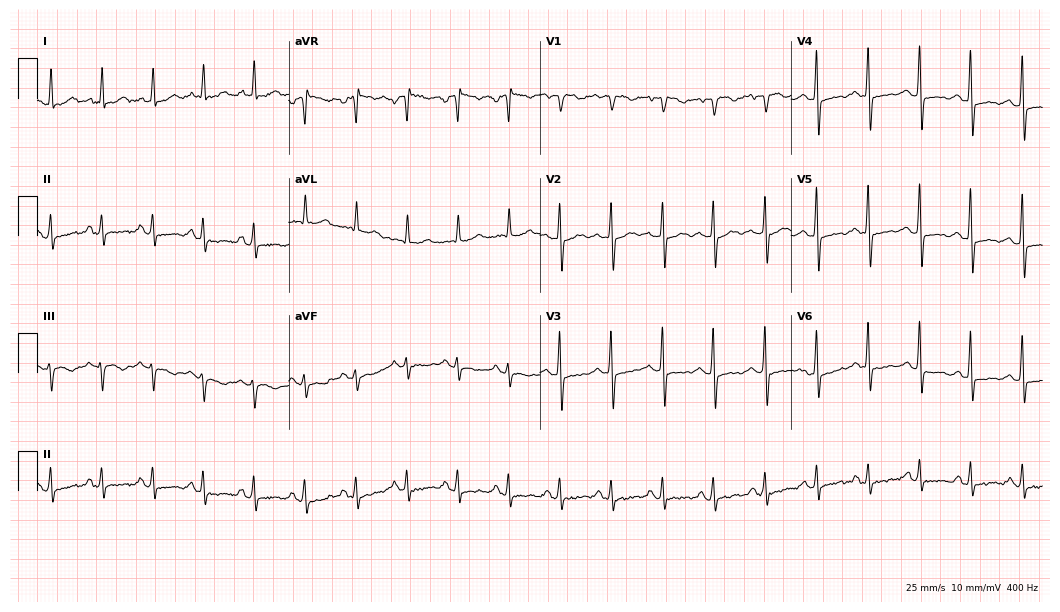
12-lead ECG from a woman, 54 years old. Shows sinus tachycardia (a sinus rate of 100 beats per minute or more).